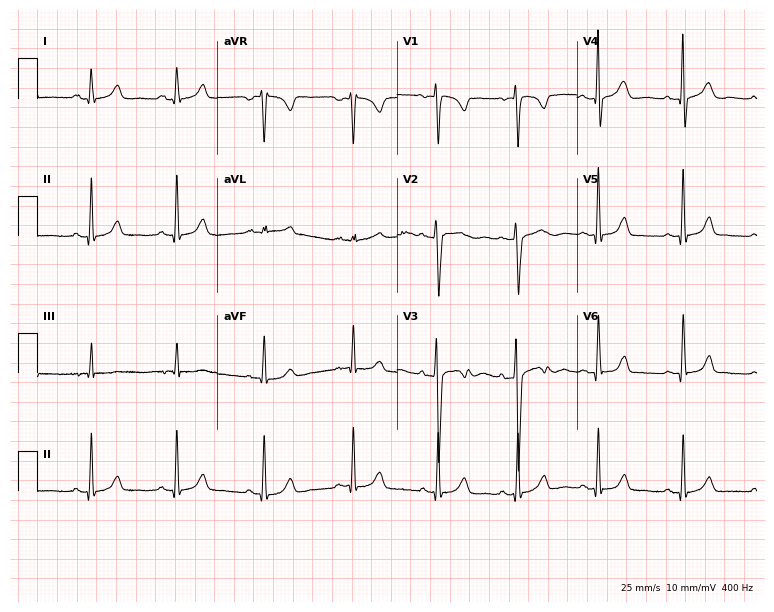
ECG — a 21-year-old female. Labelled as a normal ECG.